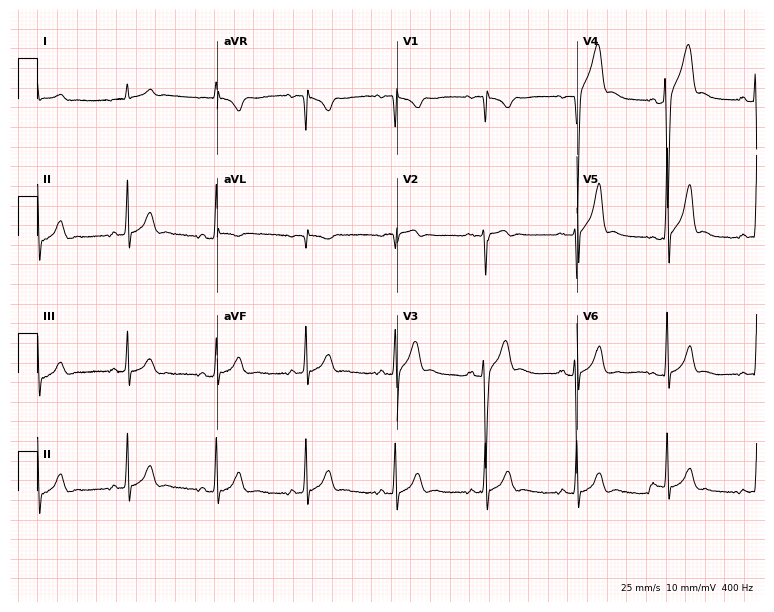
Standard 12-lead ECG recorded from a man, 47 years old (7.3-second recording at 400 Hz). Read as a normal ECG.